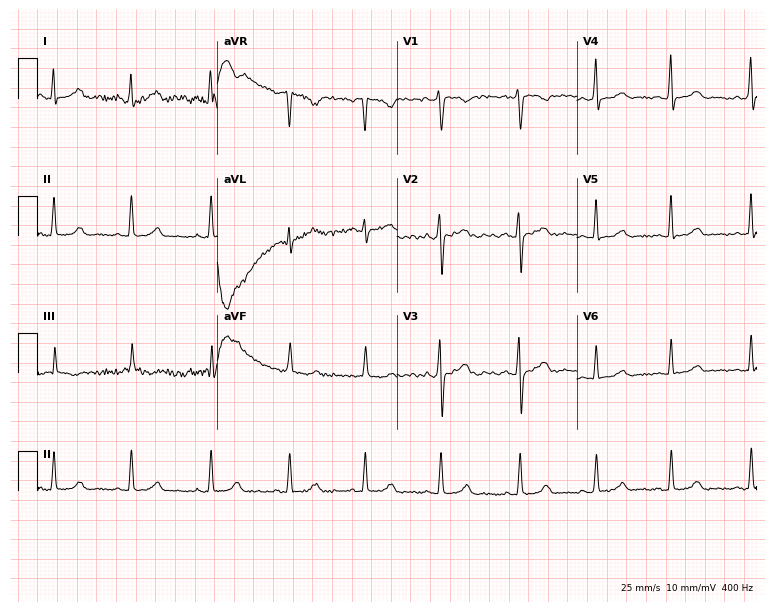
12-lead ECG from a 33-year-old female patient. No first-degree AV block, right bundle branch block, left bundle branch block, sinus bradycardia, atrial fibrillation or sinus tachycardia recorded for this tracing. Other findings, if any, are not listed.